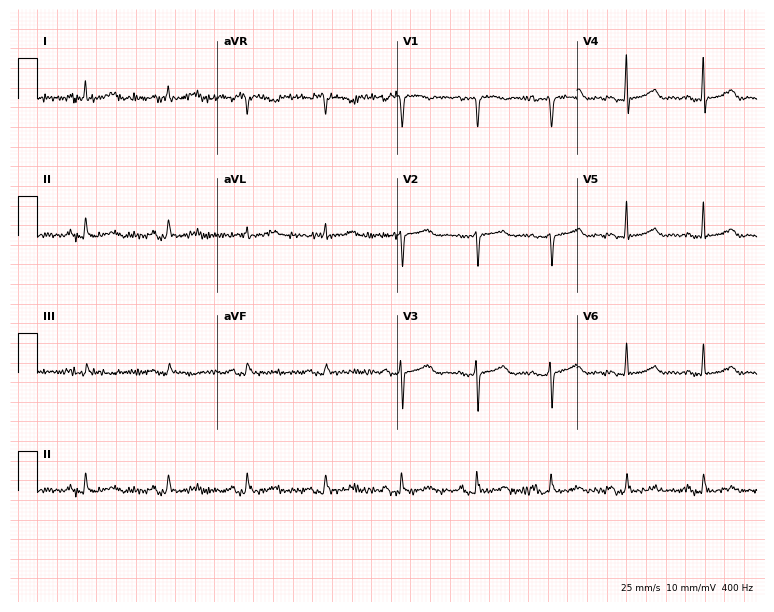
12-lead ECG from a 53-year-old female patient. Recorded interpretation: within normal limits.